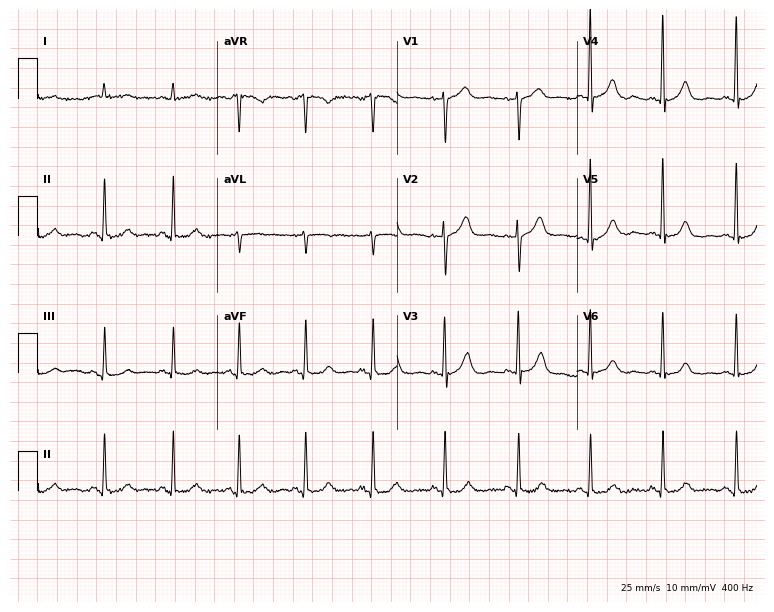
Standard 12-lead ECG recorded from a 61-year-old woman. Read as a normal ECG.